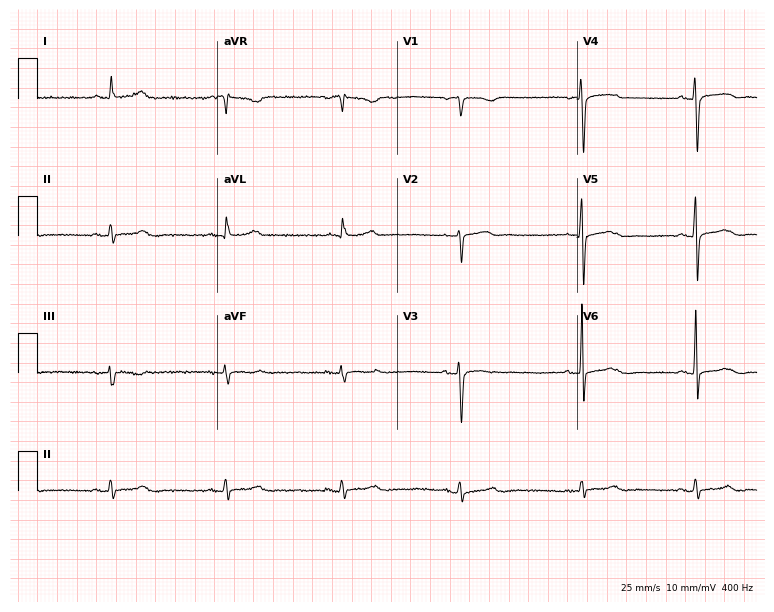
Standard 12-lead ECG recorded from a 72-year-old female. None of these six findings is recorded: first-degree AV block, right bundle branch block (RBBB), left bundle branch block (LBBB), sinus bradycardia, atrial fibrillation (AF), sinus tachycardia.